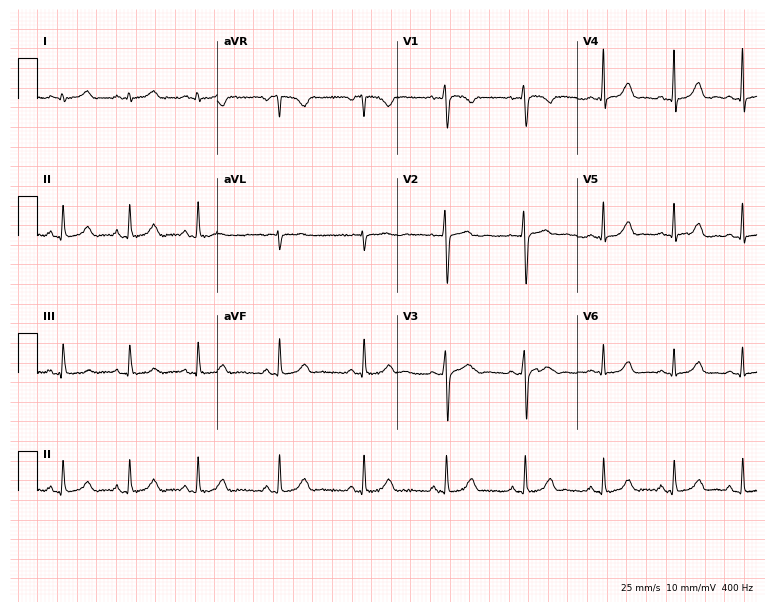
Resting 12-lead electrocardiogram. Patient: a 28-year-old female. None of these six findings is recorded: first-degree AV block, right bundle branch block, left bundle branch block, sinus bradycardia, atrial fibrillation, sinus tachycardia. Other findings, if any, are not listed.